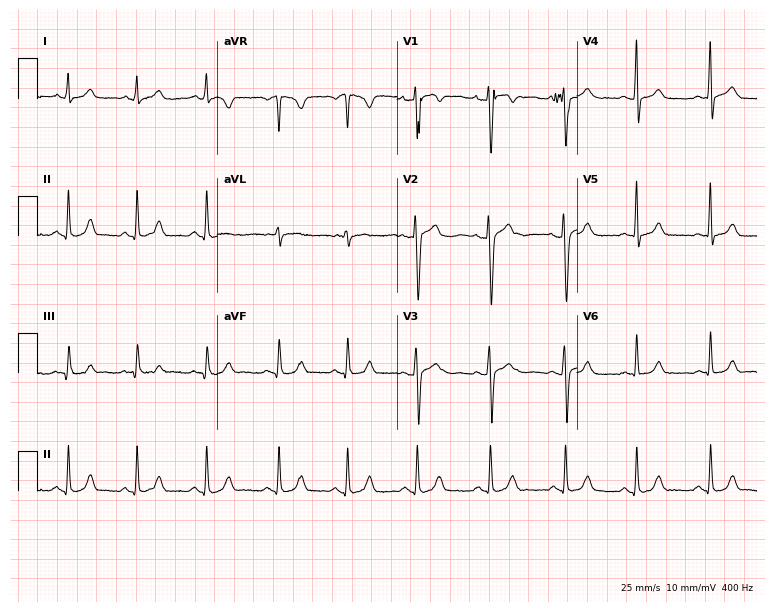
ECG — a 19-year-old male patient. Labelled as a normal ECG.